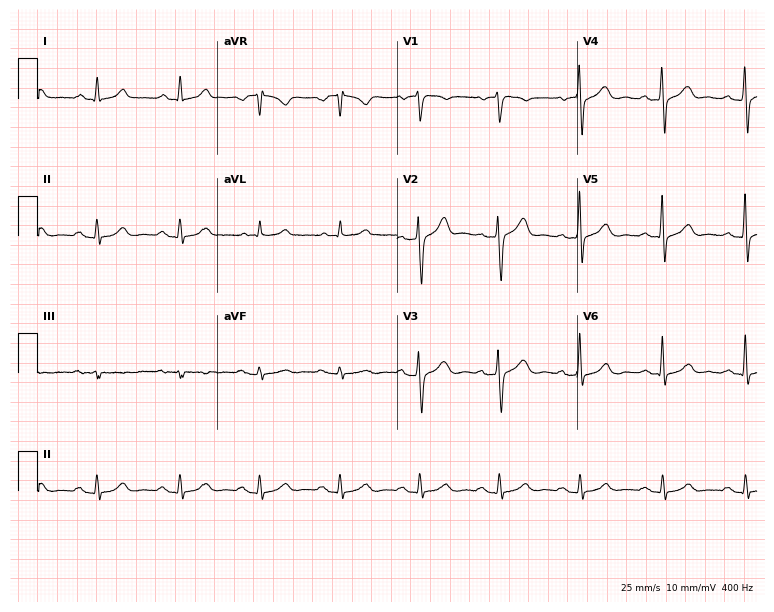
12-lead ECG (7.3-second recording at 400 Hz) from a 58-year-old male patient. Screened for six findings — first-degree AV block, right bundle branch block, left bundle branch block, sinus bradycardia, atrial fibrillation, sinus tachycardia — none is recorded. Other findings, if any, are not listed.